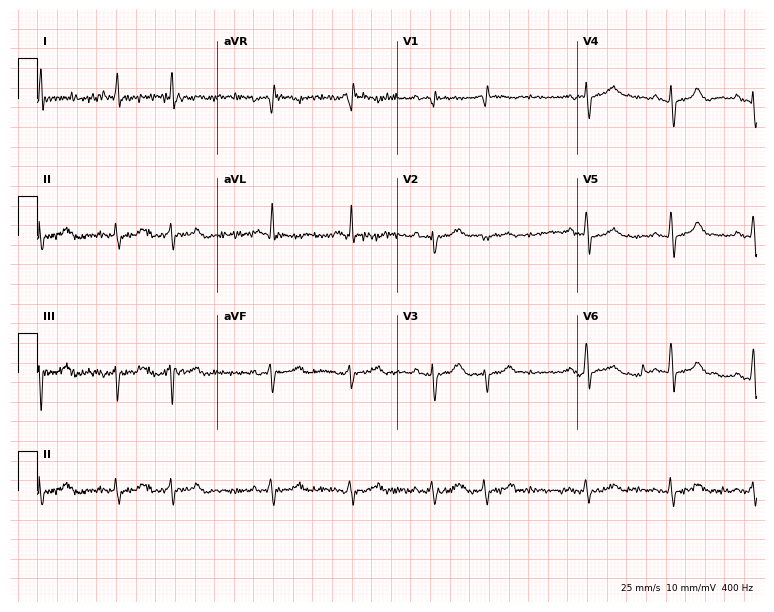
Standard 12-lead ECG recorded from an 82-year-old male patient. None of these six findings is recorded: first-degree AV block, right bundle branch block, left bundle branch block, sinus bradycardia, atrial fibrillation, sinus tachycardia.